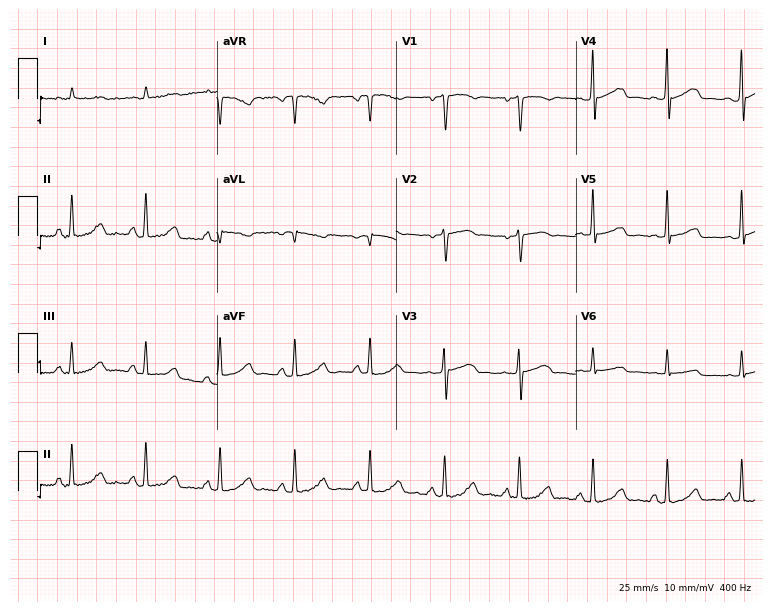
12-lead ECG from a man, 71 years old. Labelled as a normal ECG.